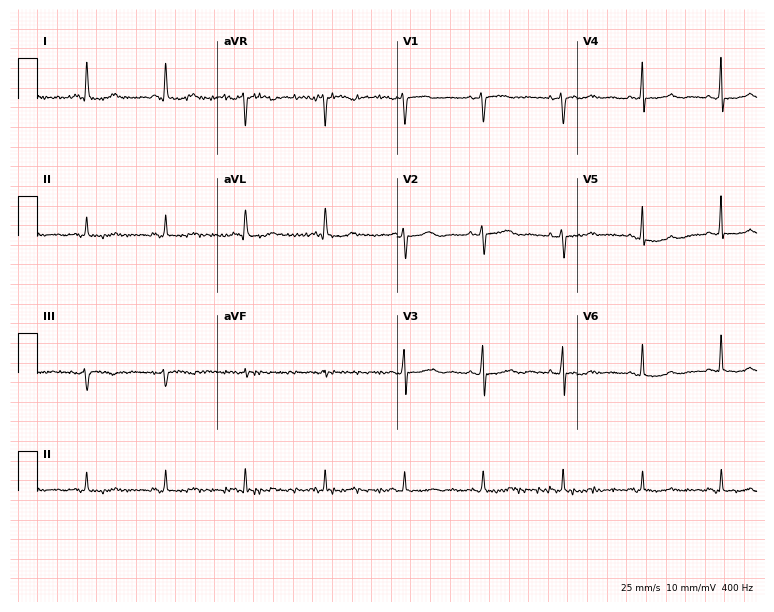
Resting 12-lead electrocardiogram (7.3-second recording at 400 Hz). Patient: a 50-year-old woman. None of these six findings is recorded: first-degree AV block, right bundle branch block, left bundle branch block, sinus bradycardia, atrial fibrillation, sinus tachycardia.